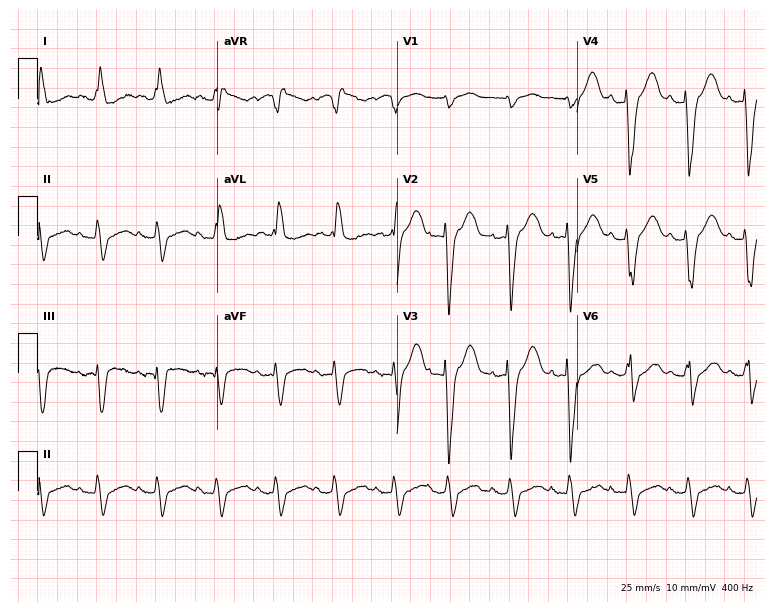
Electrocardiogram (7.3-second recording at 400 Hz), a female, 88 years old. Of the six screened findings (first-degree AV block, right bundle branch block, left bundle branch block, sinus bradycardia, atrial fibrillation, sinus tachycardia), none is recorded. Findings outside these six are not listed.